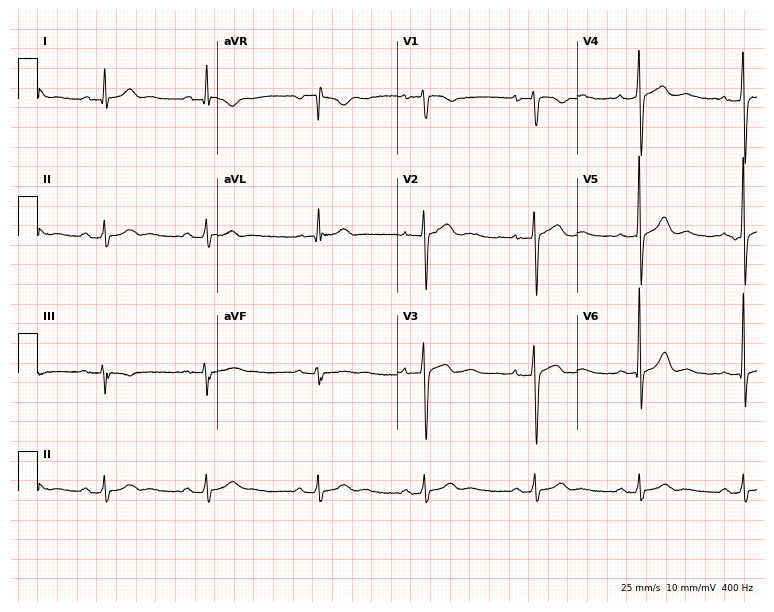
Electrocardiogram, a male, 51 years old. Interpretation includes first-degree AV block.